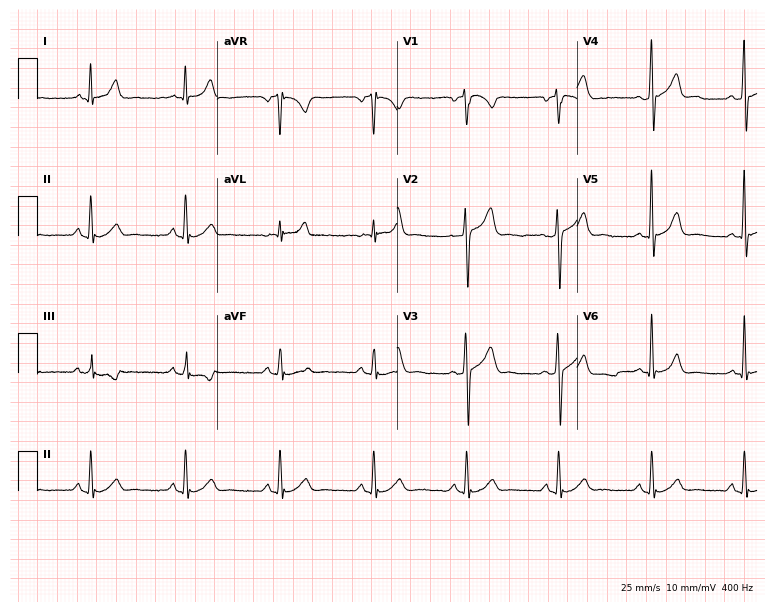
12-lead ECG from a 55-year-old man (7.3-second recording at 400 Hz). Recorded interpretation: within normal limits.